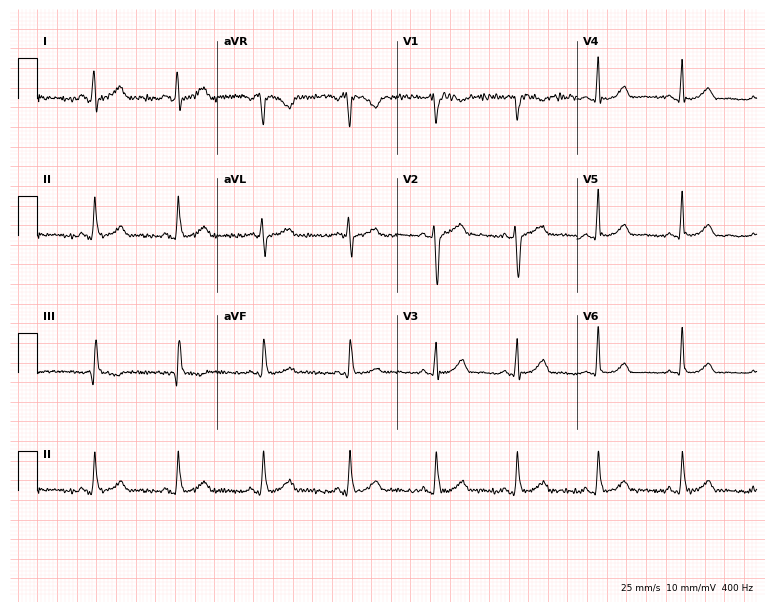
12-lead ECG from a 42-year-old woman. Labelled as a normal ECG.